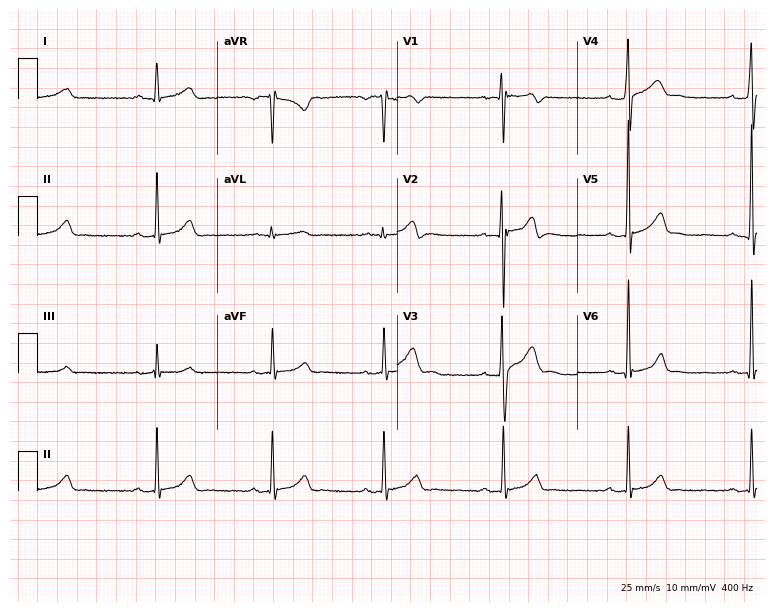
Resting 12-lead electrocardiogram (7.3-second recording at 400 Hz). Patient: a 21-year-old male. The tracing shows sinus bradycardia (a sinus rate of 50 beats per minute or less).